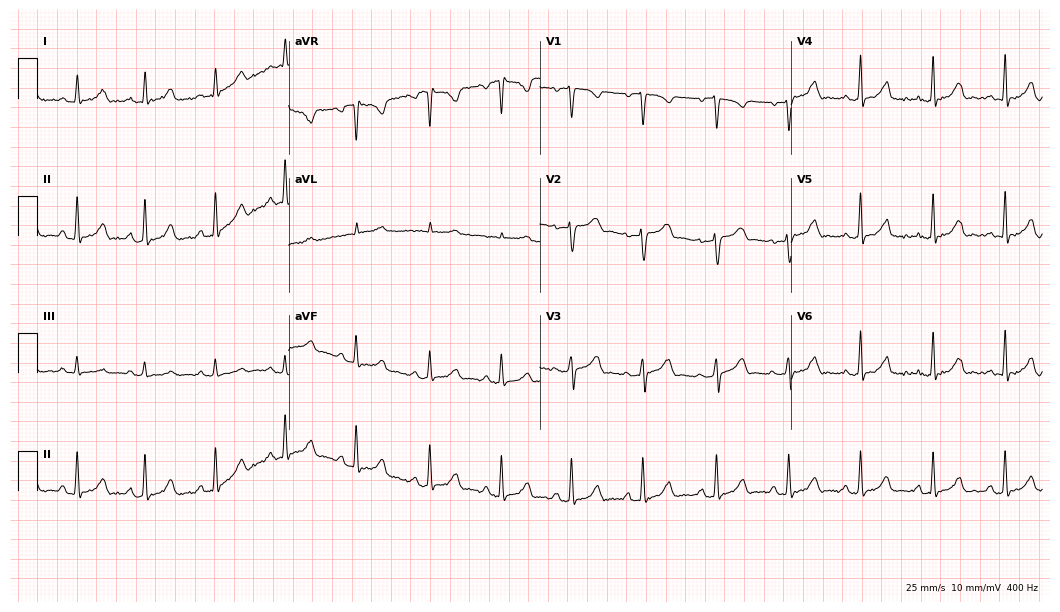
Electrocardiogram, a 28-year-old woman. Overall reading on record: normal ECG.